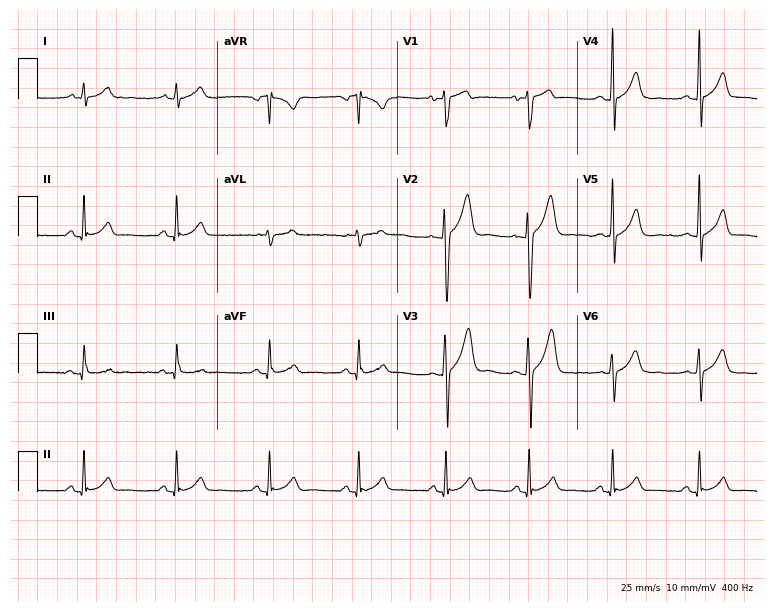
Electrocardiogram (7.3-second recording at 400 Hz), a 37-year-old male. Of the six screened findings (first-degree AV block, right bundle branch block, left bundle branch block, sinus bradycardia, atrial fibrillation, sinus tachycardia), none is recorded. Findings outside these six are not listed.